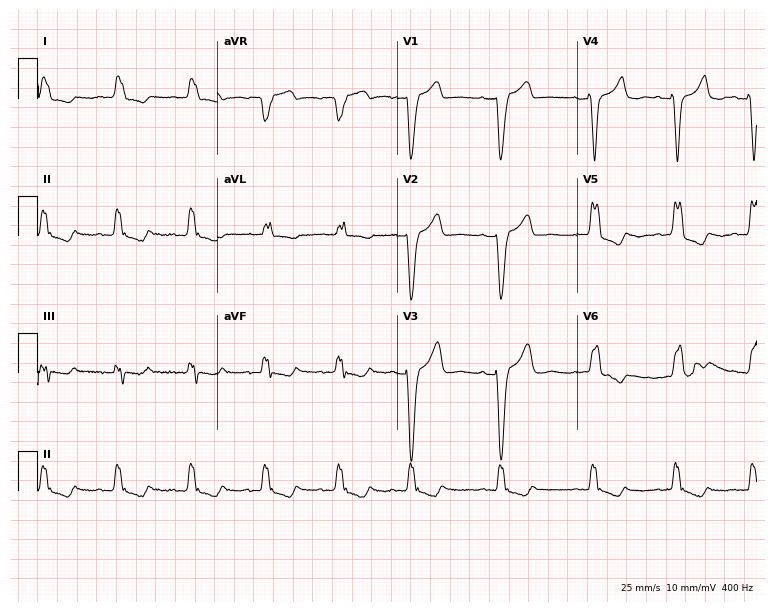
12-lead ECG from a female patient, 77 years old. Shows left bundle branch block (LBBB).